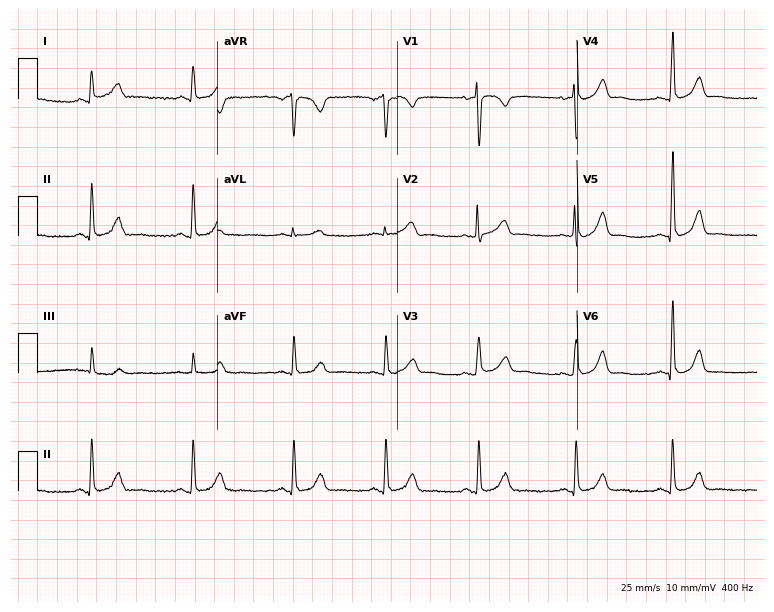
12-lead ECG (7.3-second recording at 400 Hz) from a female, 34 years old. Labelled as a normal ECG.